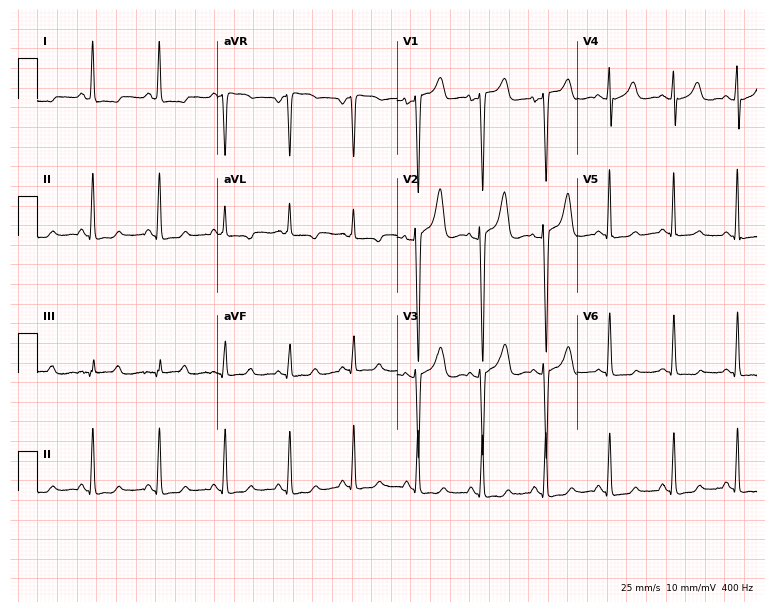
Resting 12-lead electrocardiogram (7.3-second recording at 400 Hz). Patient: a female, 37 years old. None of these six findings is recorded: first-degree AV block, right bundle branch block (RBBB), left bundle branch block (LBBB), sinus bradycardia, atrial fibrillation (AF), sinus tachycardia.